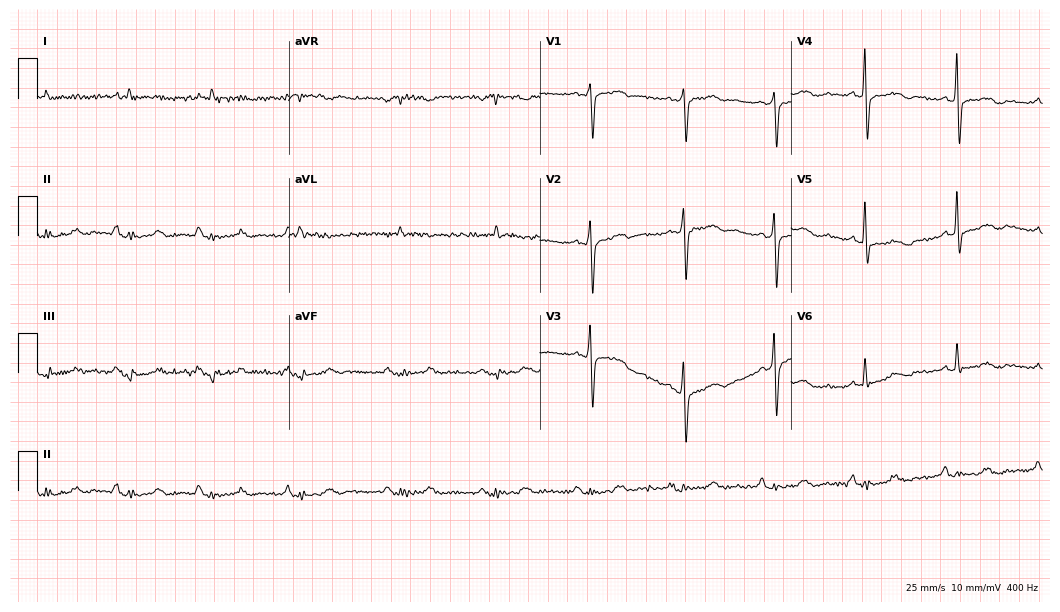
Electrocardiogram, a 75-year-old man. Of the six screened findings (first-degree AV block, right bundle branch block, left bundle branch block, sinus bradycardia, atrial fibrillation, sinus tachycardia), none is recorded. Only these six findings were labelled.